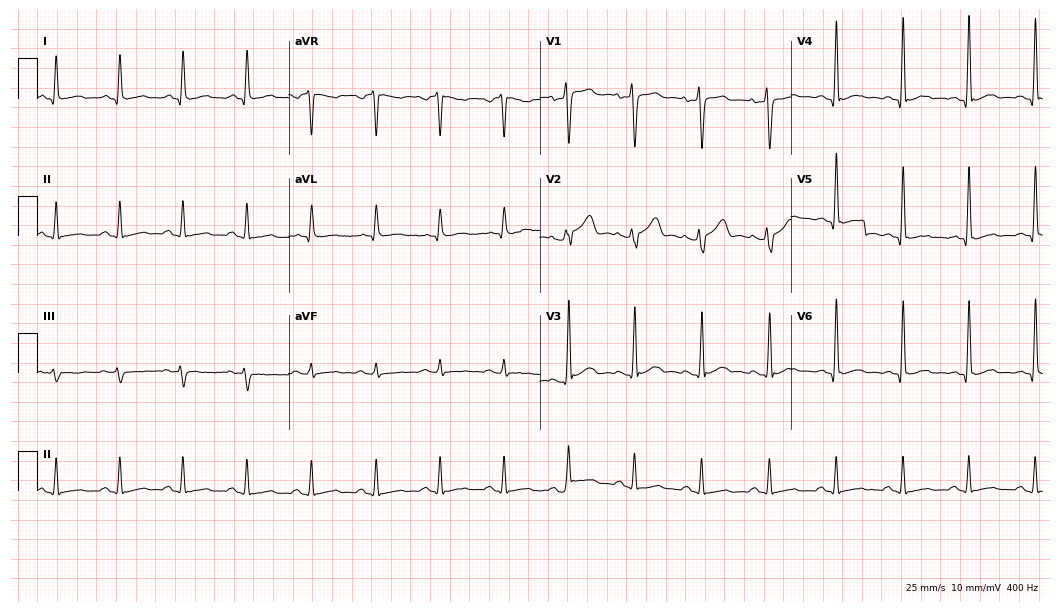
Electrocardiogram, a man, 46 years old. Of the six screened findings (first-degree AV block, right bundle branch block (RBBB), left bundle branch block (LBBB), sinus bradycardia, atrial fibrillation (AF), sinus tachycardia), none is recorded. Only these six findings were labelled.